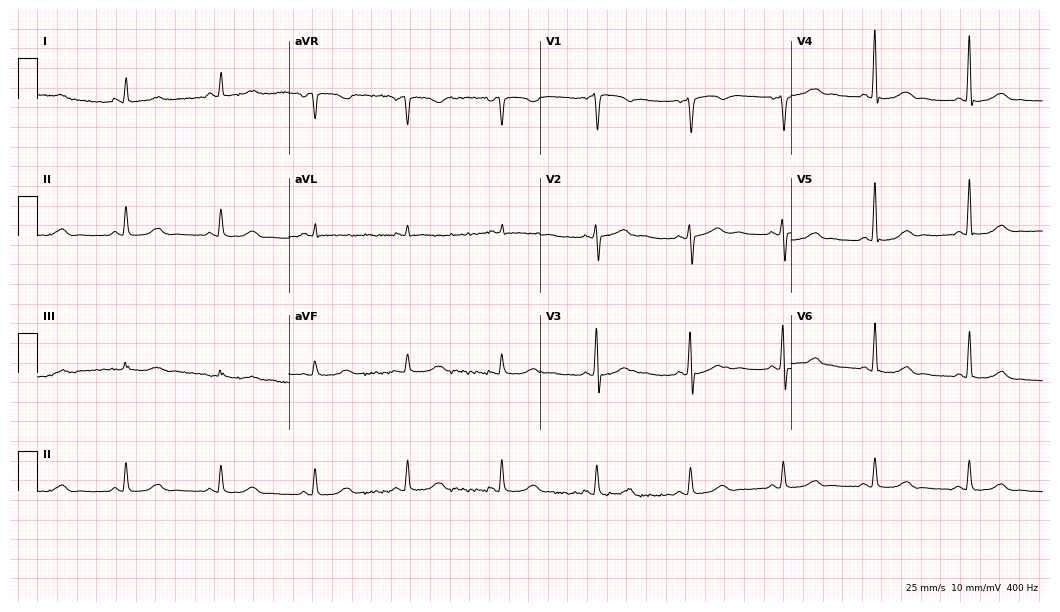
12-lead ECG from a female patient, 58 years old. Labelled as a normal ECG.